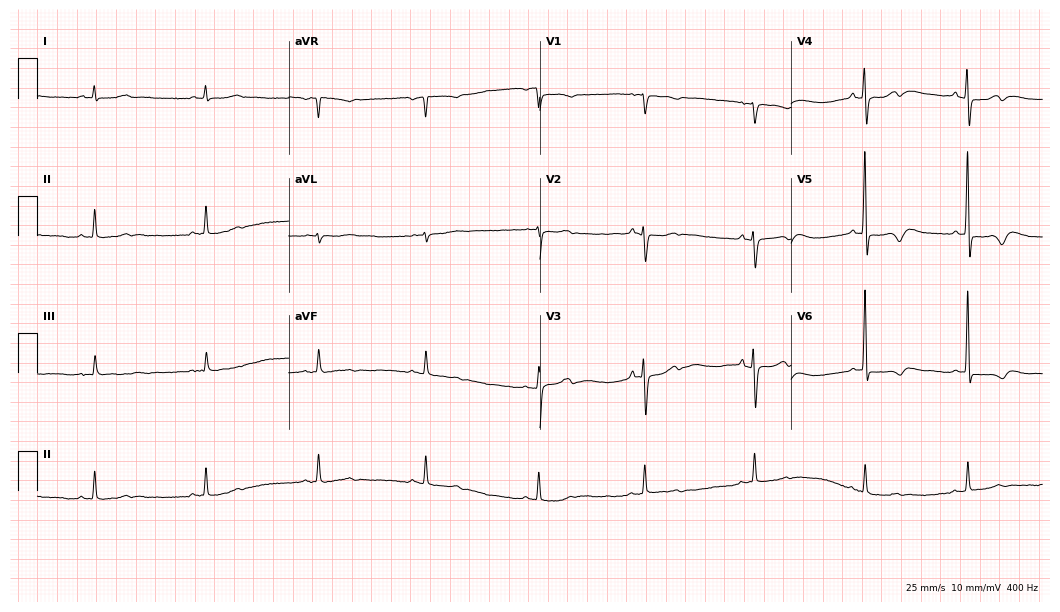
12-lead ECG (10.2-second recording at 400 Hz) from a 61-year-old woman. Screened for six findings — first-degree AV block, right bundle branch block, left bundle branch block, sinus bradycardia, atrial fibrillation, sinus tachycardia — none is recorded. Only these six findings were labelled.